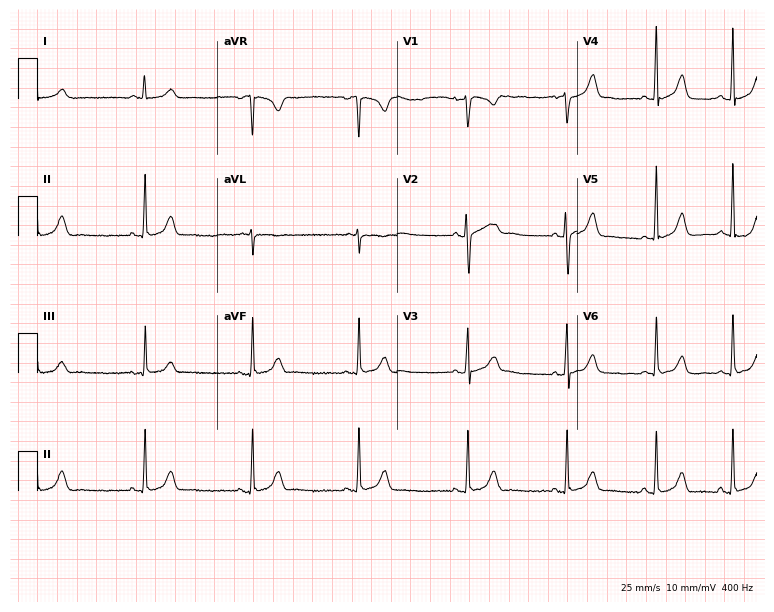
Standard 12-lead ECG recorded from a 17-year-old female patient (7.3-second recording at 400 Hz). Read as a normal ECG.